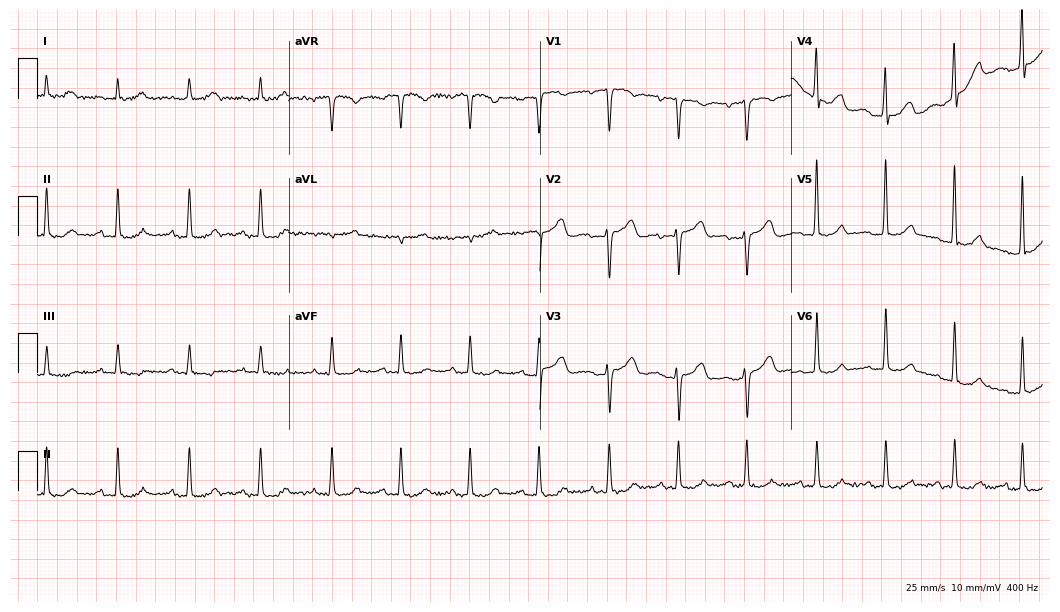
12-lead ECG from a female, 86 years old. Labelled as a normal ECG.